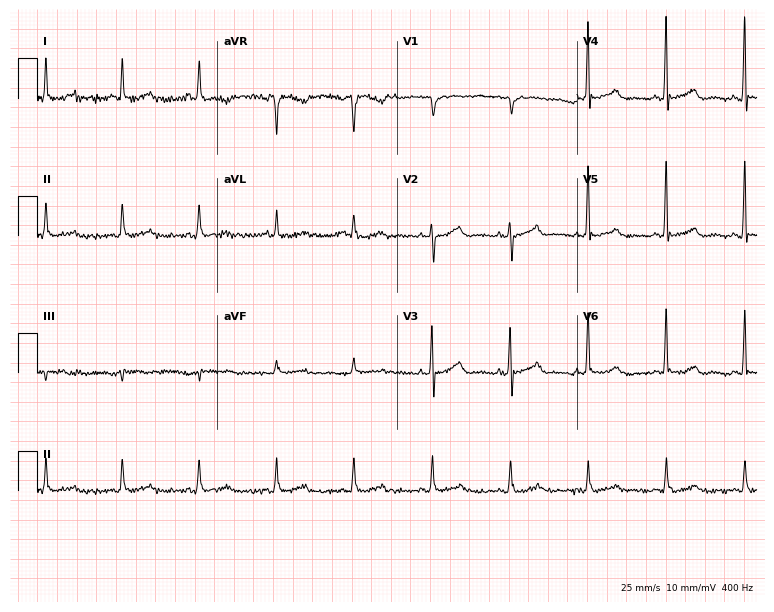
Standard 12-lead ECG recorded from a female patient, 62 years old. Read as a normal ECG.